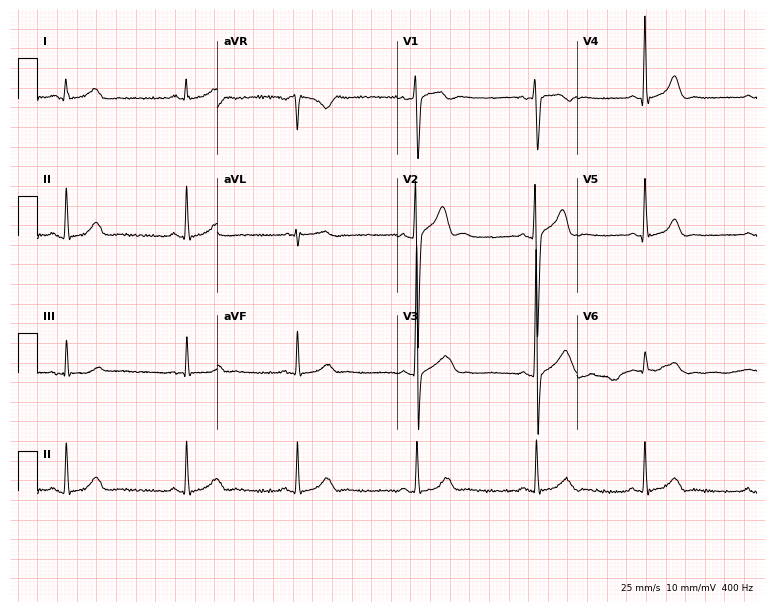
Standard 12-lead ECG recorded from a male, 23 years old (7.3-second recording at 400 Hz). Read as a normal ECG.